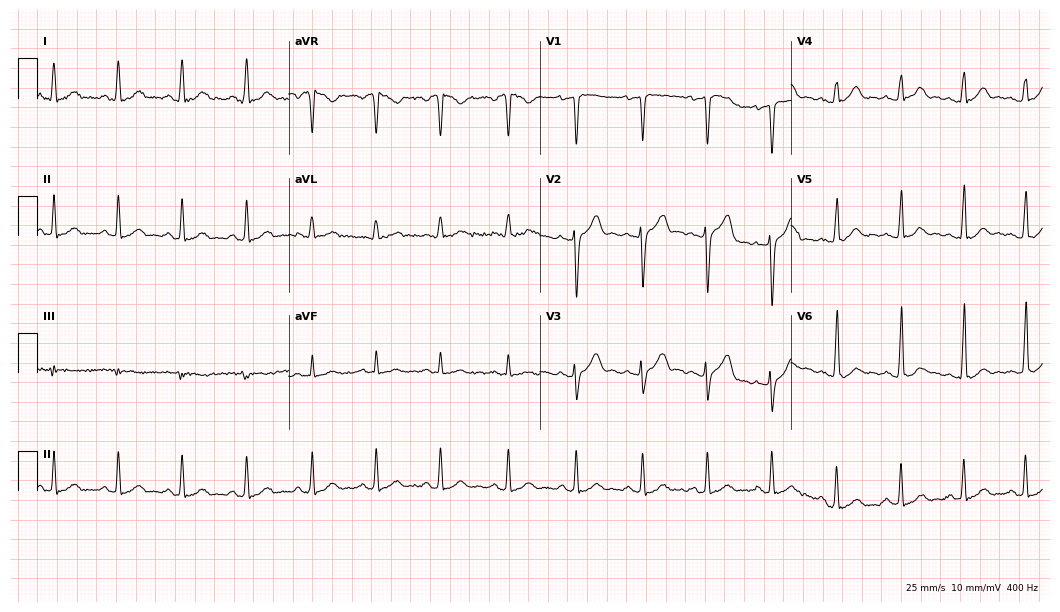
12-lead ECG (10.2-second recording at 400 Hz) from a male patient, 29 years old. Labelled as a normal ECG.